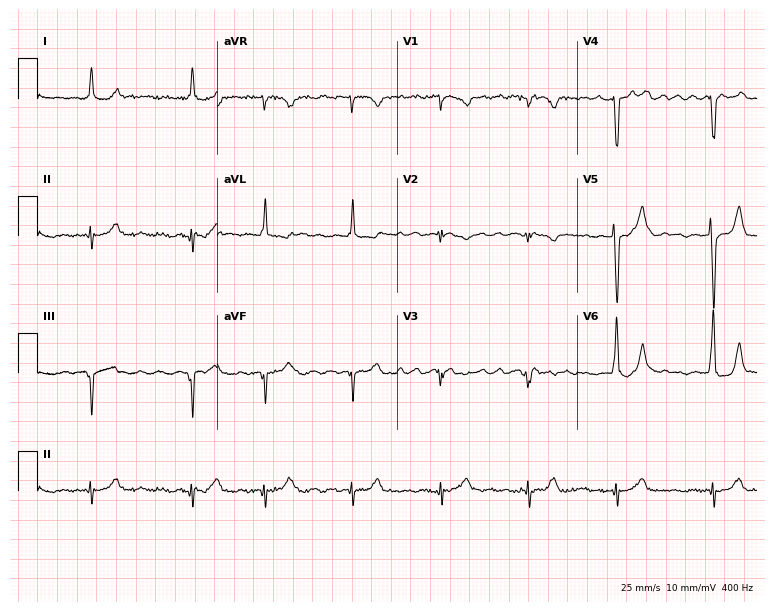
12-lead ECG from a 71-year-old male. Findings include atrial fibrillation (AF).